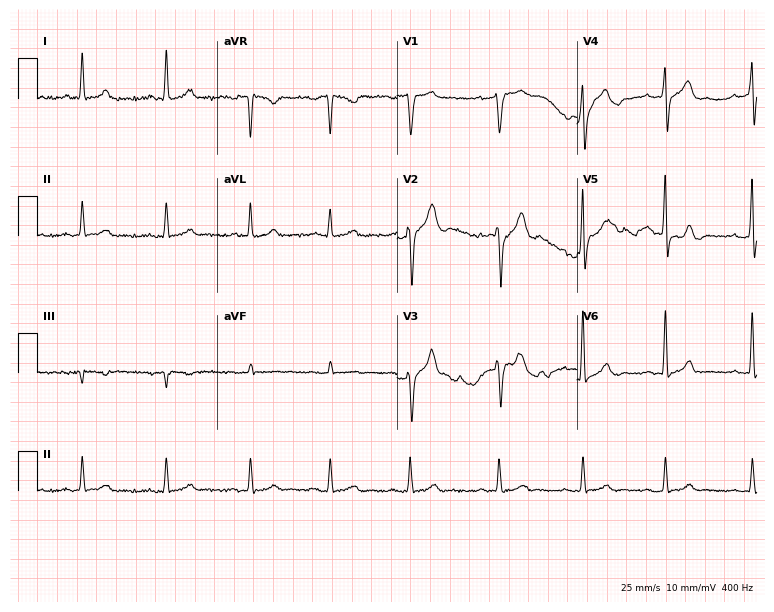
Resting 12-lead electrocardiogram (7.3-second recording at 400 Hz). Patient: a male, 43 years old. Read as a normal ECG.